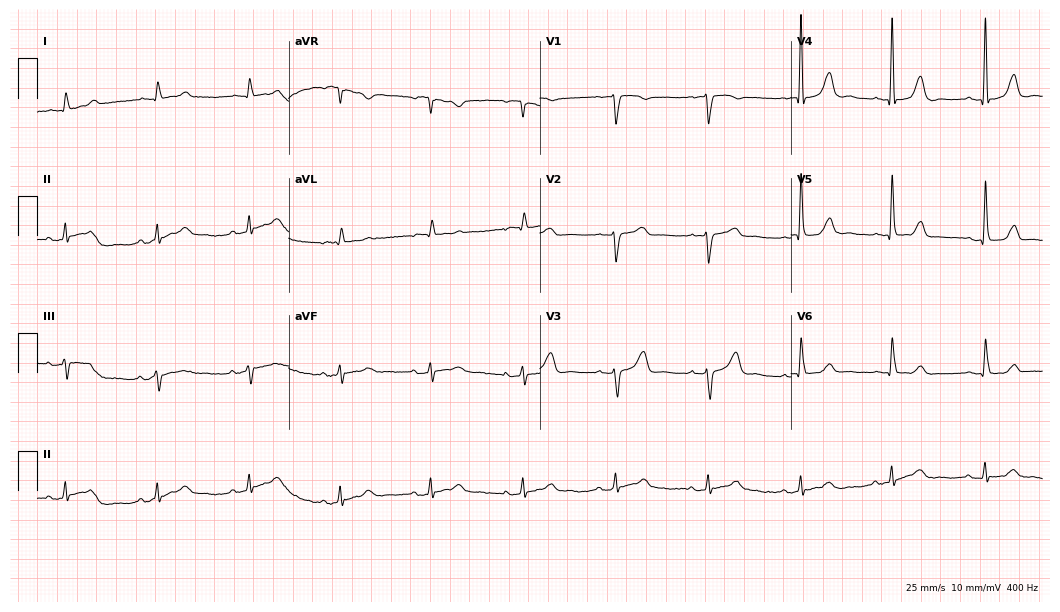
Resting 12-lead electrocardiogram. Patient: a 68-year-old female. Read as a normal ECG.